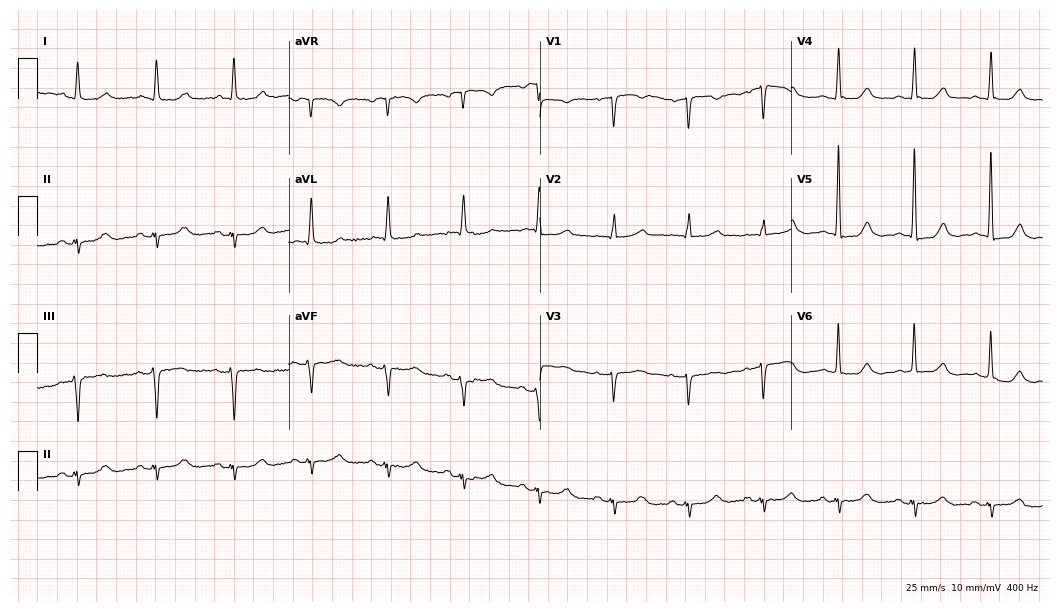
Electrocardiogram, an 80-year-old woman. Of the six screened findings (first-degree AV block, right bundle branch block (RBBB), left bundle branch block (LBBB), sinus bradycardia, atrial fibrillation (AF), sinus tachycardia), none is recorded.